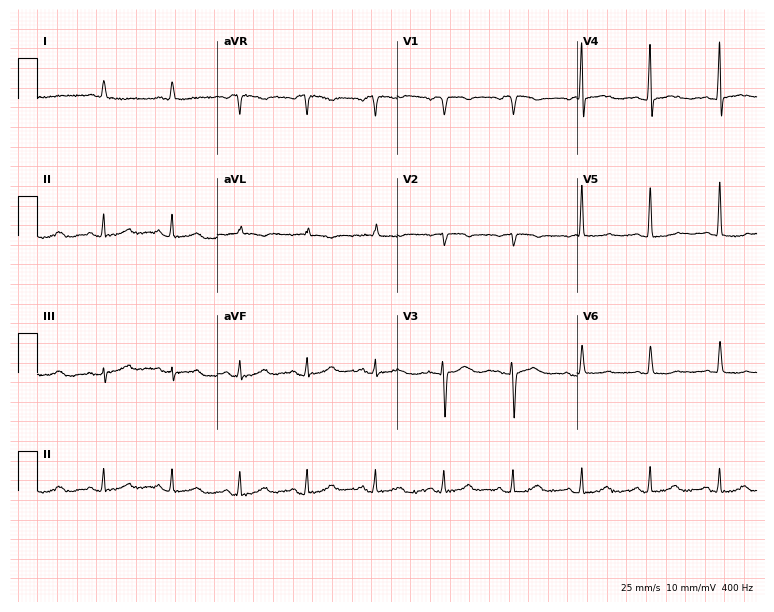
ECG — a female, 63 years old. Screened for six findings — first-degree AV block, right bundle branch block (RBBB), left bundle branch block (LBBB), sinus bradycardia, atrial fibrillation (AF), sinus tachycardia — none is recorded.